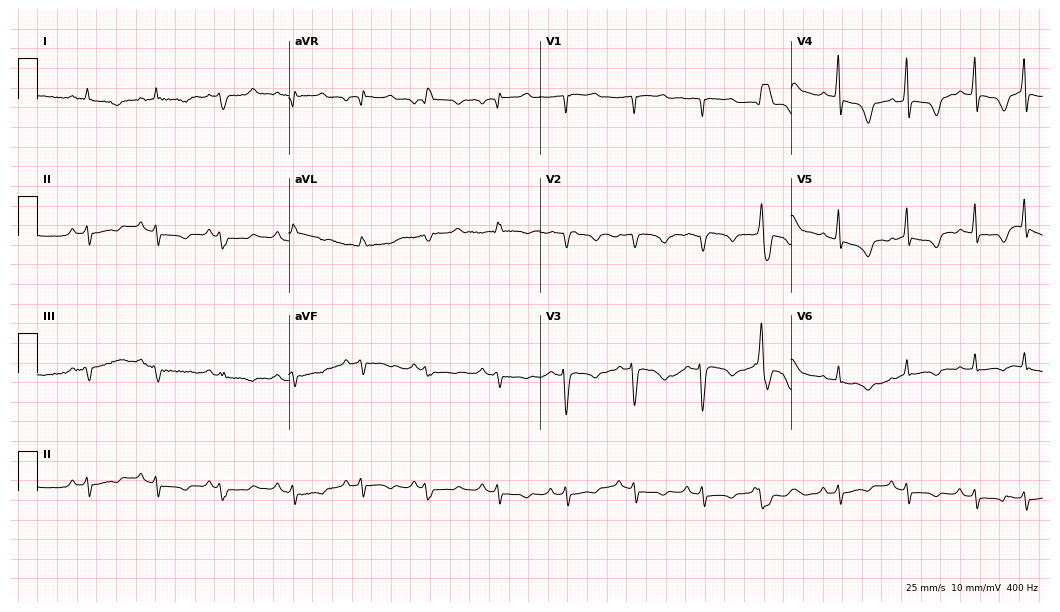
Electrocardiogram, a 71-year-old male. Of the six screened findings (first-degree AV block, right bundle branch block (RBBB), left bundle branch block (LBBB), sinus bradycardia, atrial fibrillation (AF), sinus tachycardia), none is recorded. Findings outside these six are not listed.